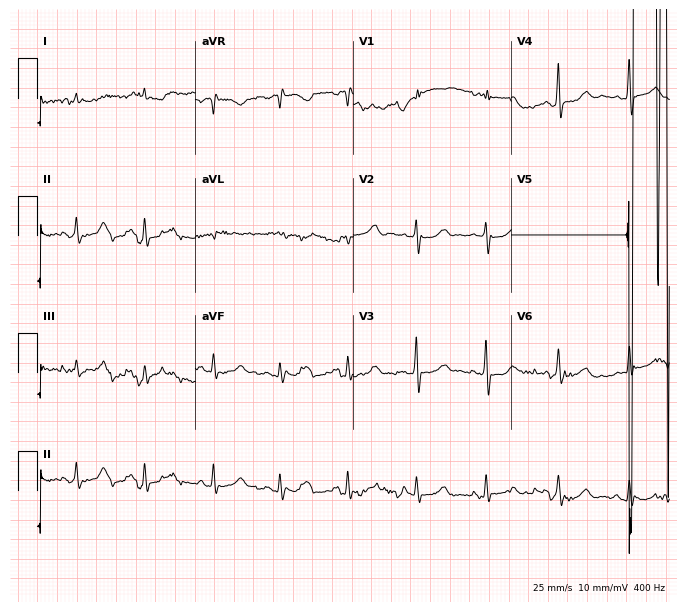
ECG — an 82-year-old male. Screened for six findings — first-degree AV block, right bundle branch block, left bundle branch block, sinus bradycardia, atrial fibrillation, sinus tachycardia — none is recorded. Other findings, if any, are not listed.